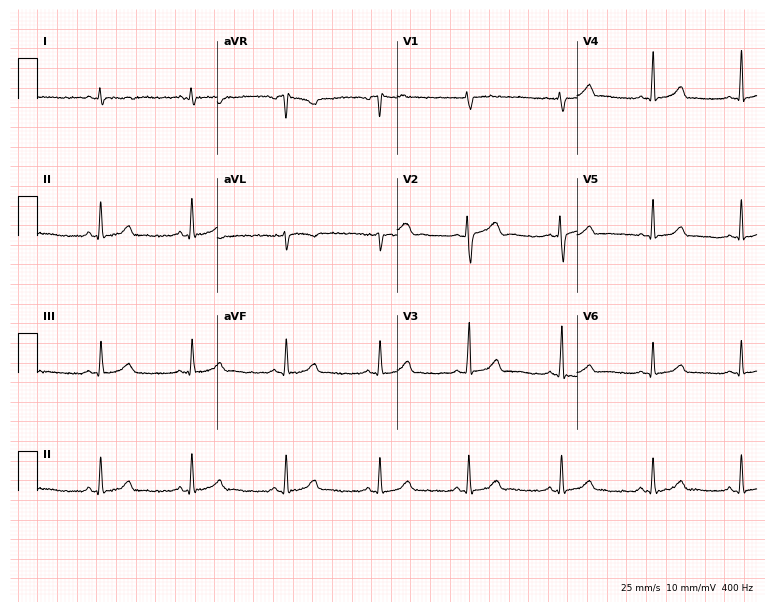
12-lead ECG (7.3-second recording at 400 Hz) from a woman, 22 years old. Screened for six findings — first-degree AV block, right bundle branch block, left bundle branch block, sinus bradycardia, atrial fibrillation, sinus tachycardia — none is recorded.